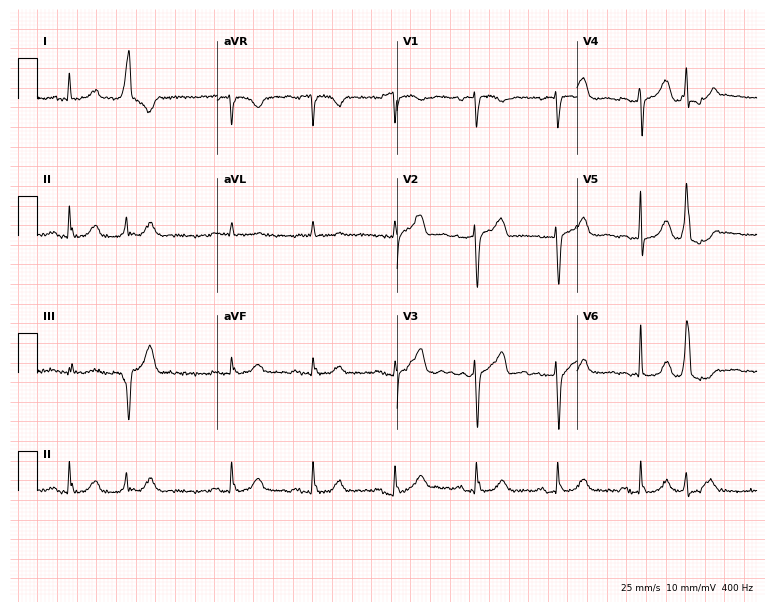
Standard 12-lead ECG recorded from a 74-year-old woman. None of these six findings is recorded: first-degree AV block, right bundle branch block (RBBB), left bundle branch block (LBBB), sinus bradycardia, atrial fibrillation (AF), sinus tachycardia.